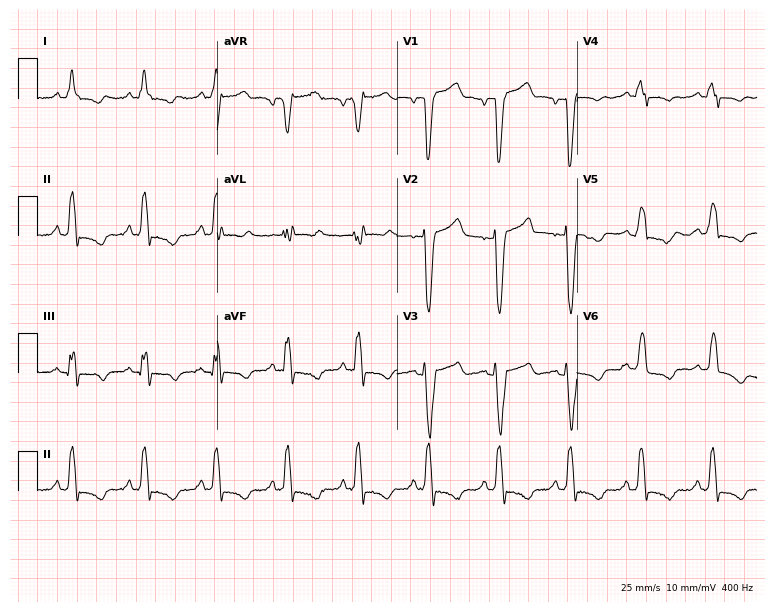
Electrocardiogram, a woman, 71 years old. Interpretation includes left bundle branch block (LBBB).